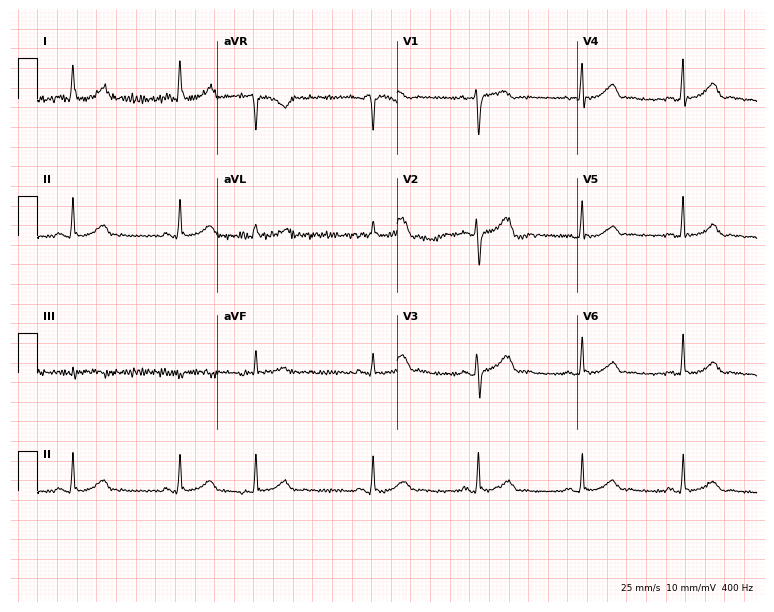
ECG (7.3-second recording at 400 Hz) — a 56-year-old woman. Screened for six findings — first-degree AV block, right bundle branch block (RBBB), left bundle branch block (LBBB), sinus bradycardia, atrial fibrillation (AF), sinus tachycardia — none is recorded.